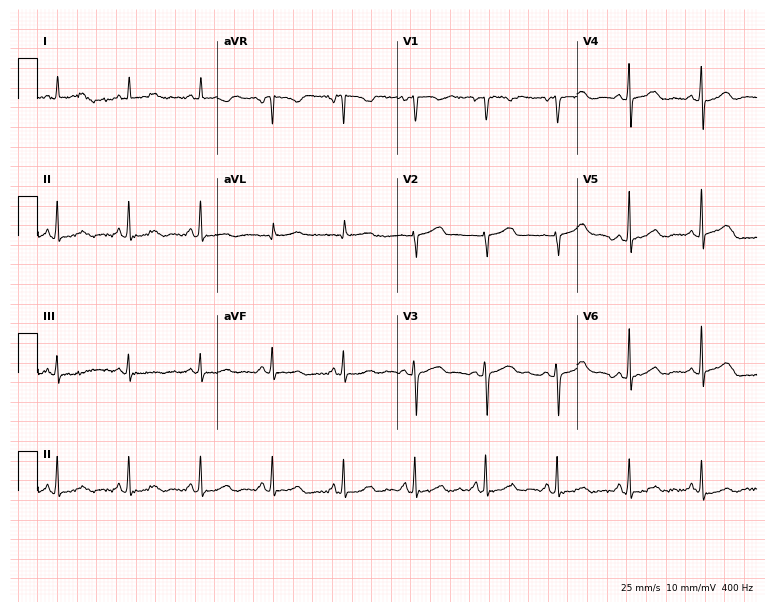
12-lead ECG from a female, 71 years old. Labelled as a normal ECG.